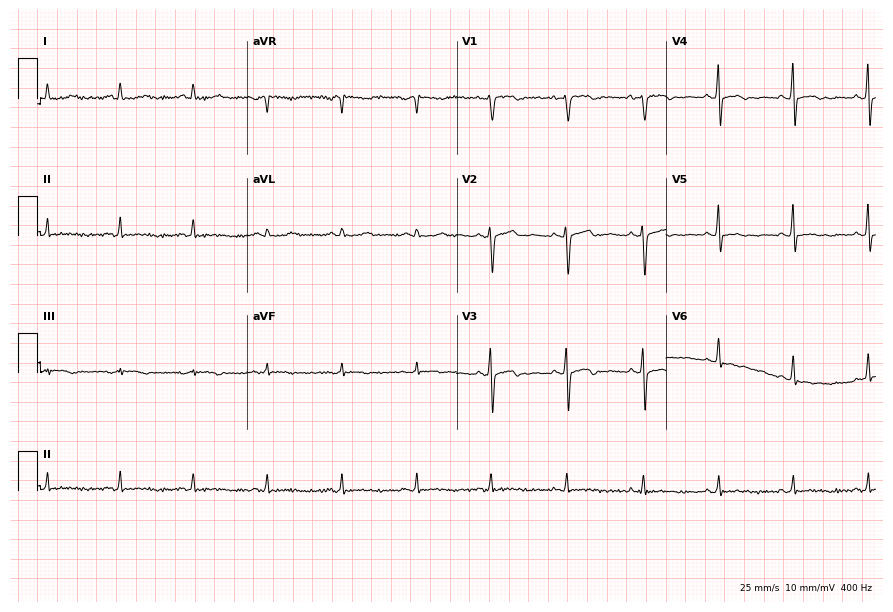
Resting 12-lead electrocardiogram (8.5-second recording at 400 Hz). Patient: a 40-year-old woman. None of these six findings is recorded: first-degree AV block, right bundle branch block, left bundle branch block, sinus bradycardia, atrial fibrillation, sinus tachycardia.